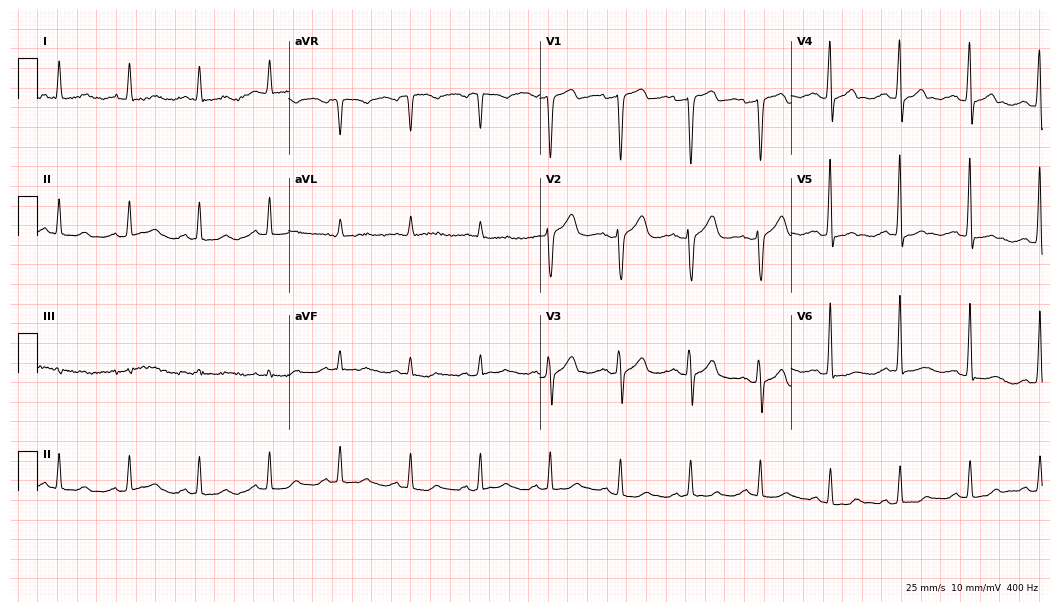
12-lead ECG from a man, 79 years old. Recorded interpretation: within normal limits.